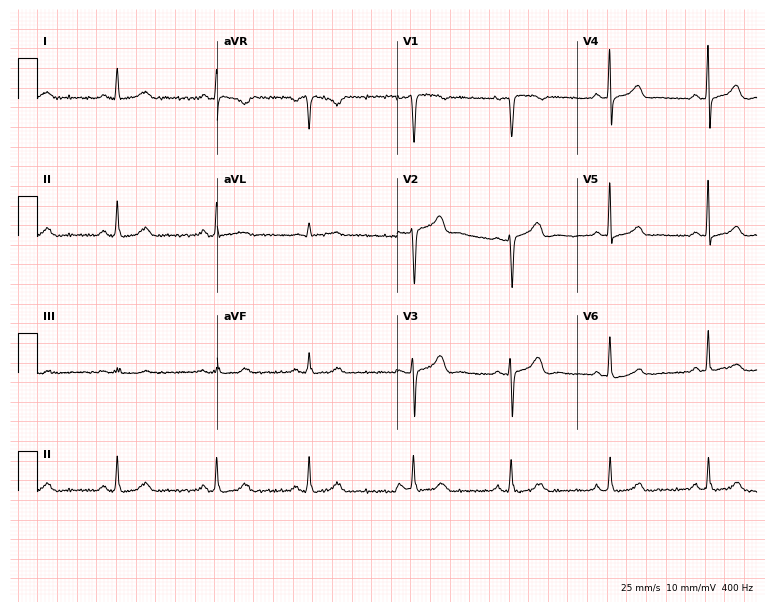
12-lead ECG from a woman, 36 years old. Labelled as a normal ECG.